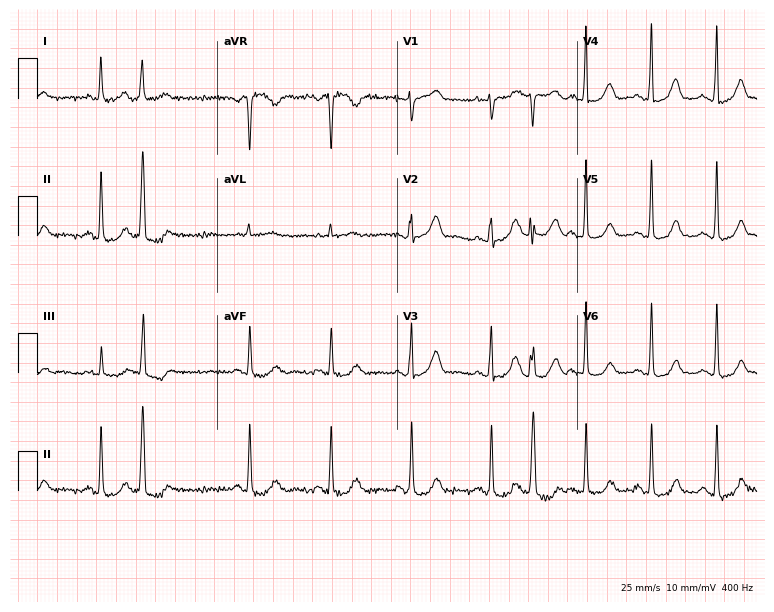
Electrocardiogram, a 78-year-old woman. Of the six screened findings (first-degree AV block, right bundle branch block, left bundle branch block, sinus bradycardia, atrial fibrillation, sinus tachycardia), none is recorded. Findings outside these six are not listed.